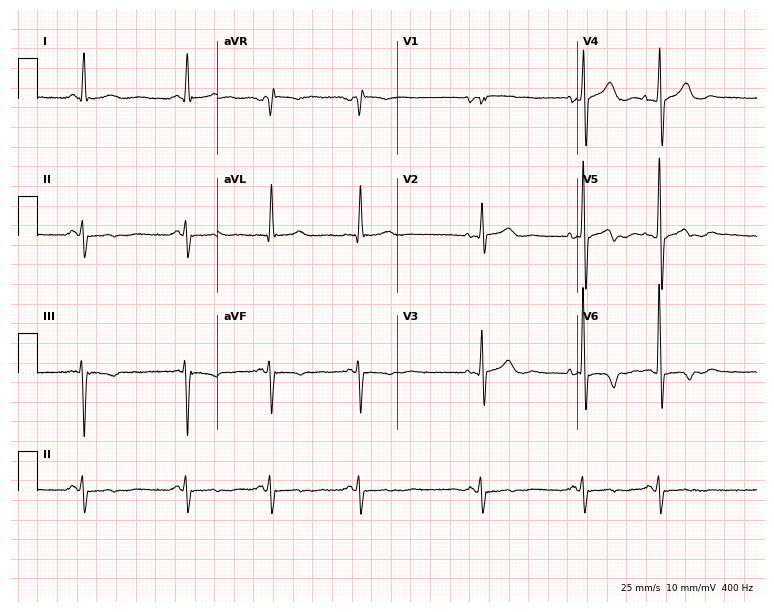
12-lead ECG from an 83-year-old male patient. Screened for six findings — first-degree AV block, right bundle branch block, left bundle branch block, sinus bradycardia, atrial fibrillation, sinus tachycardia — none is recorded.